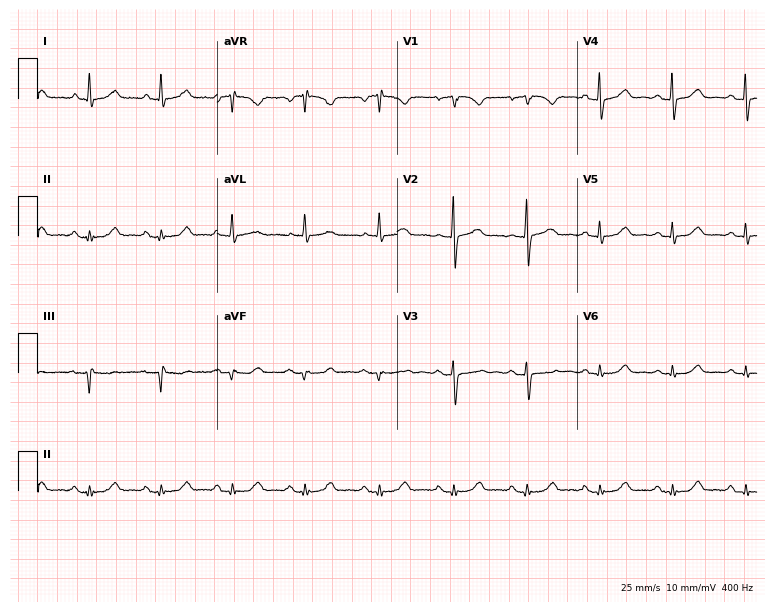
12-lead ECG from an 80-year-old man. Labelled as a normal ECG.